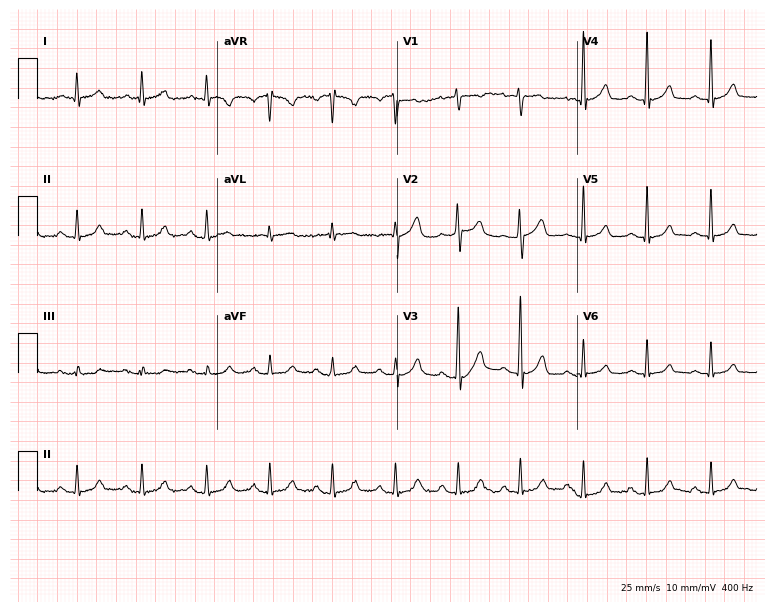
Resting 12-lead electrocardiogram. Patient: a female, 54 years old. Read as a normal ECG.